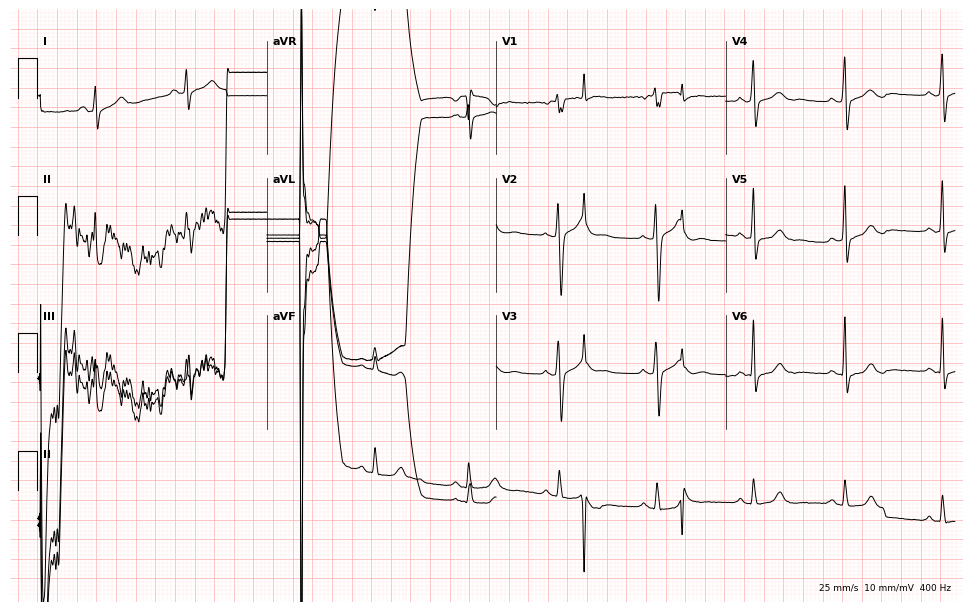
ECG — a 44-year-old male. Screened for six findings — first-degree AV block, right bundle branch block, left bundle branch block, sinus bradycardia, atrial fibrillation, sinus tachycardia — none is recorded.